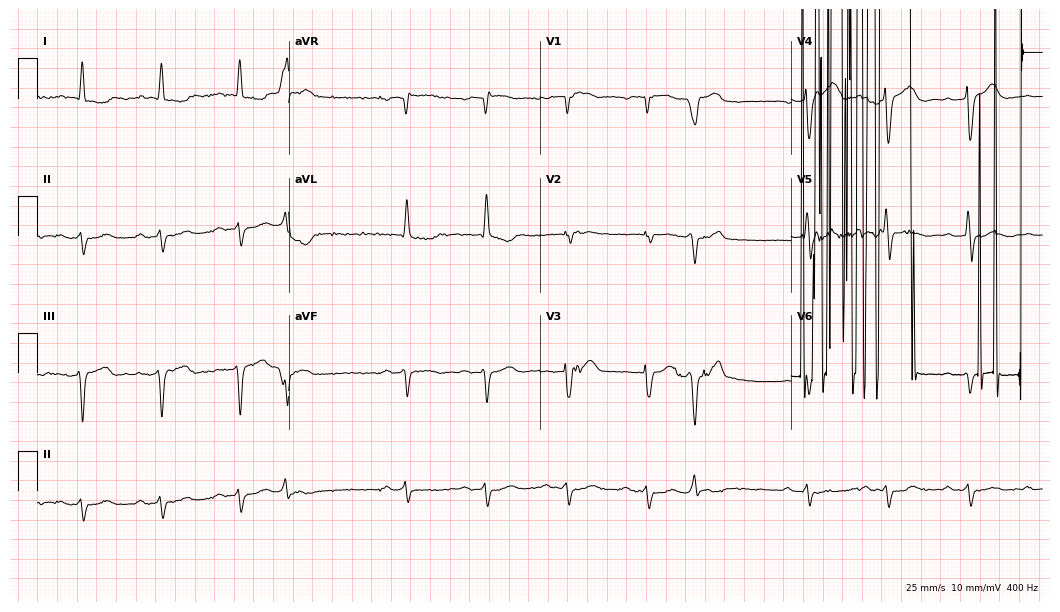
12-lead ECG from an 83-year-old female. No first-degree AV block, right bundle branch block (RBBB), left bundle branch block (LBBB), sinus bradycardia, atrial fibrillation (AF) or sinus tachycardia recorded for this tracing.